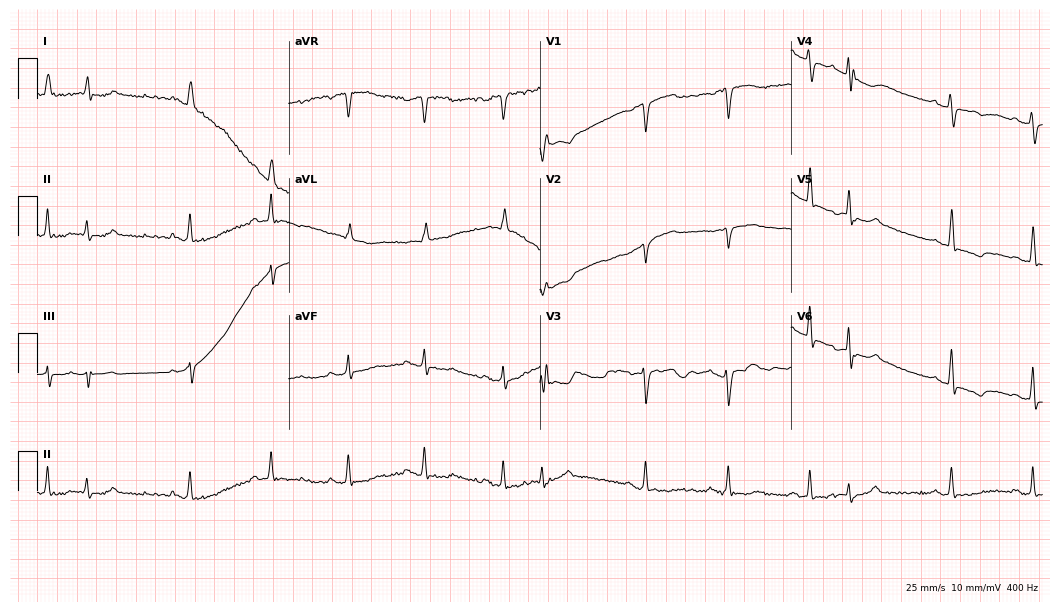
12-lead ECG (10.2-second recording at 400 Hz) from a 53-year-old female patient. Screened for six findings — first-degree AV block, right bundle branch block (RBBB), left bundle branch block (LBBB), sinus bradycardia, atrial fibrillation (AF), sinus tachycardia — none is recorded.